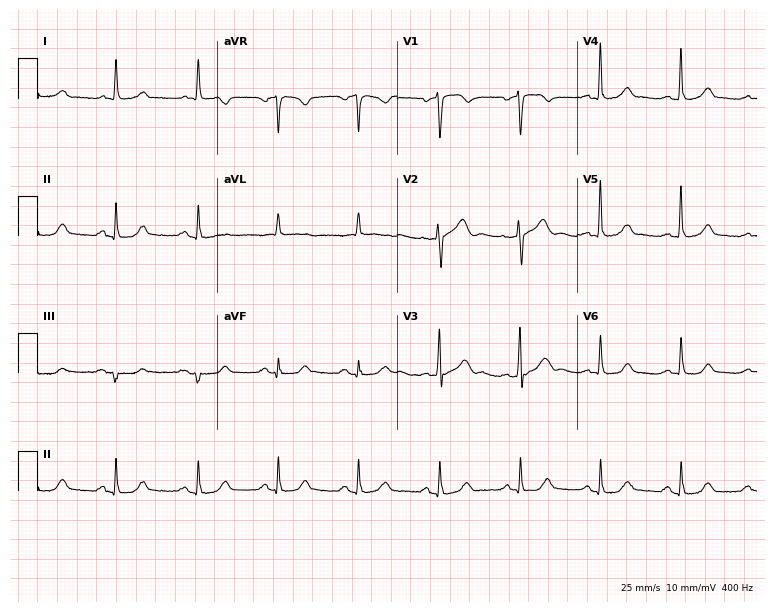
12-lead ECG (7.3-second recording at 400 Hz) from a man, 67 years old. Labelled as a normal ECG.